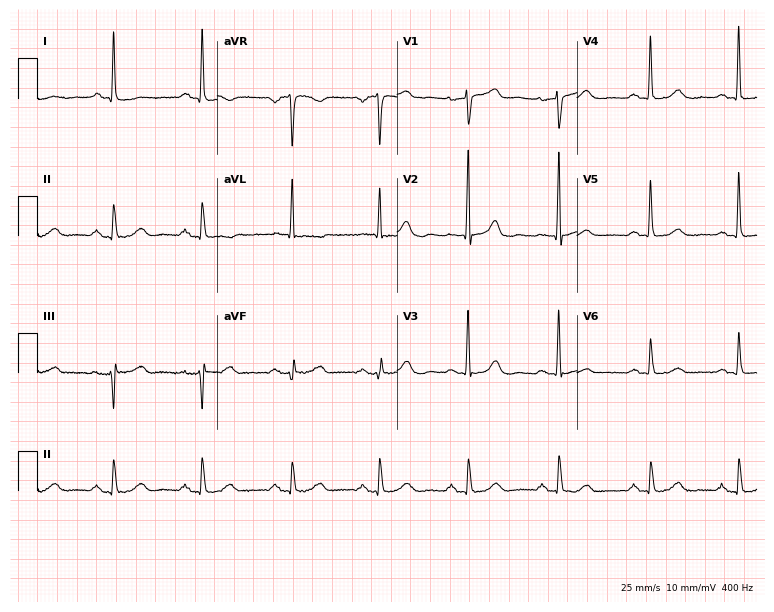
Resting 12-lead electrocardiogram. Patient: a female, 82 years old. None of these six findings is recorded: first-degree AV block, right bundle branch block, left bundle branch block, sinus bradycardia, atrial fibrillation, sinus tachycardia.